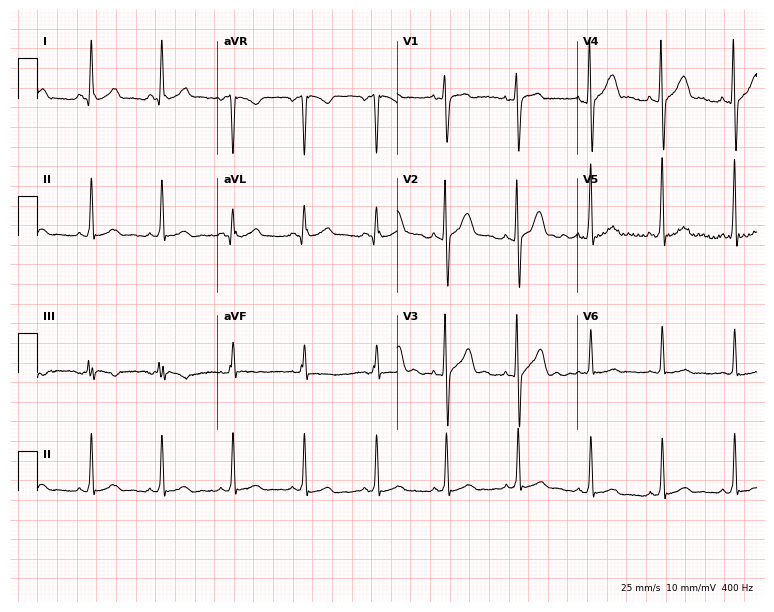
Electrocardiogram, a 35-year-old male patient. Of the six screened findings (first-degree AV block, right bundle branch block (RBBB), left bundle branch block (LBBB), sinus bradycardia, atrial fibrillation (AF), sinus tachycardia), none is recorded. Findings outside these six are not listed.